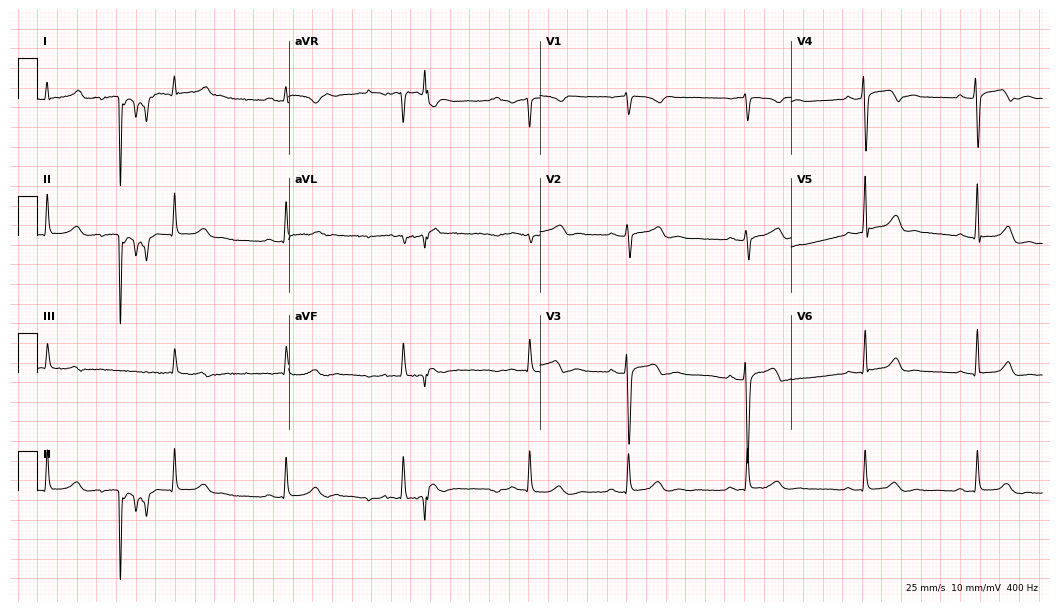
Electrocardiogram (10.2-second recording at 400 Hz), a 29-year-old woman. Interpretation includes atrial fibrillation (AF).